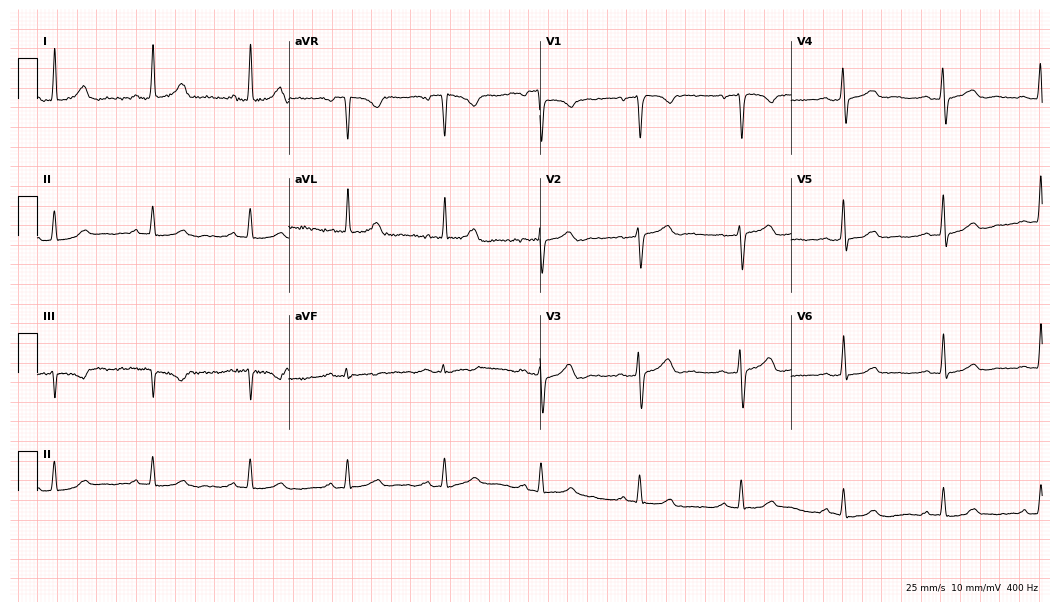
ECG (10.2-second recording at 400 Hz) — a woman, 53 years old. Labelled as a normal ECG.